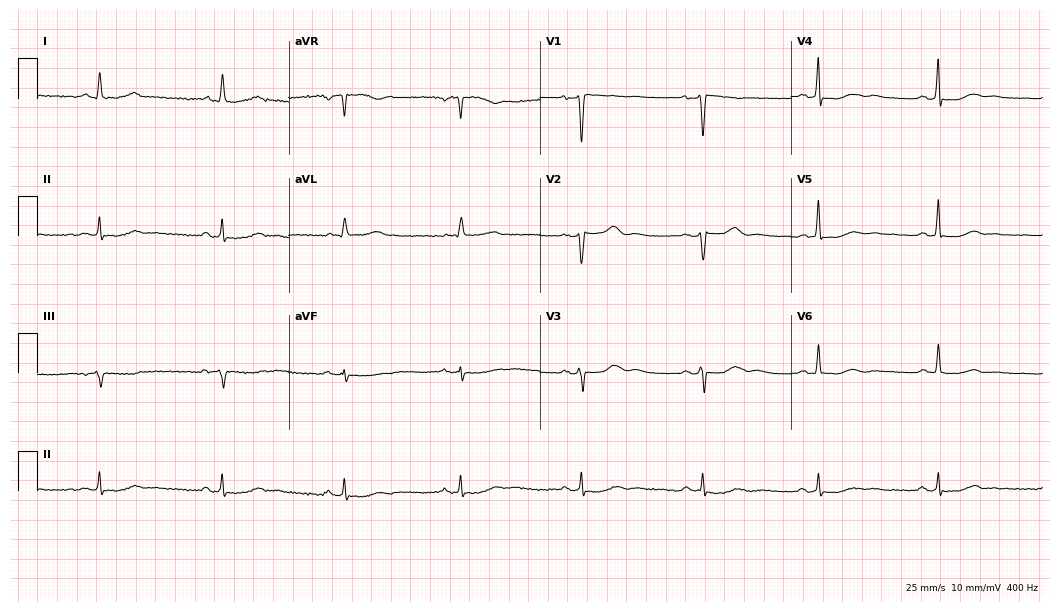
12-lead ECG from a female patient, 62 years old. Screened for six findings — first-degree AV block, right bundle branch block, left bundle branch block, sinus bradycardia, atrial fibrillation, sinus tachycardia — none is recorded. Only these six findings were labelled.